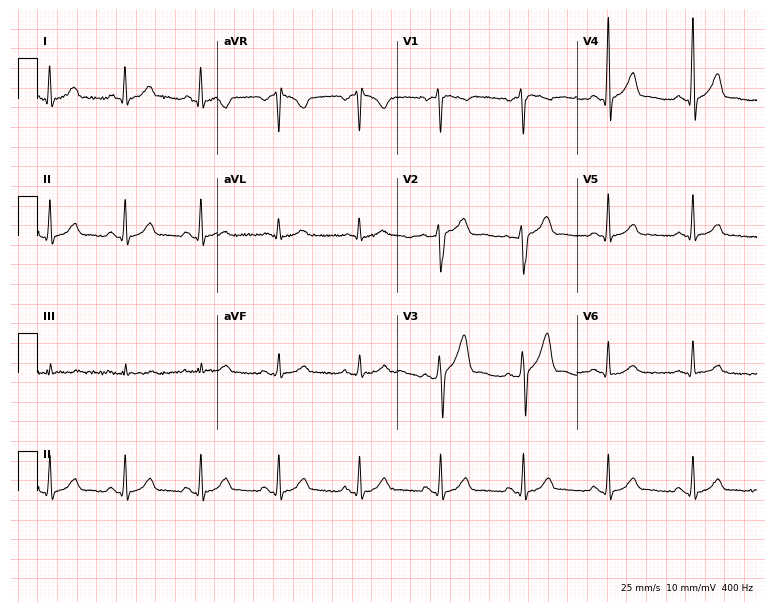
12-lead ECG from a male patient, 47 years old. Screened for six findings — first-degree AV block, right bundle branch block, left bundle branch block, sinus bradycardia, atrial fibrillation, sinus tachycardia — none is recorded. Other findings, if any, are not listed.